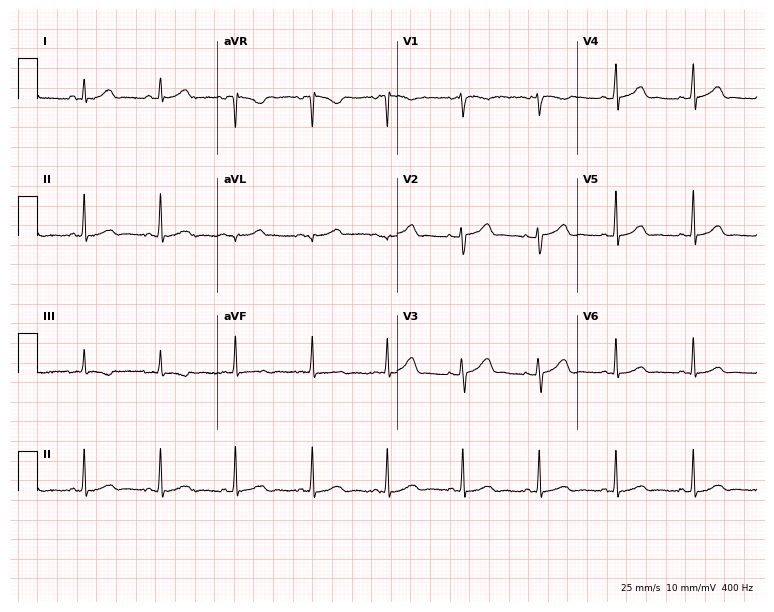
12-lead ECG from a 28-year-old female (7.3-second recording at 400 Hz). Recorded interpretation: within normal limits.